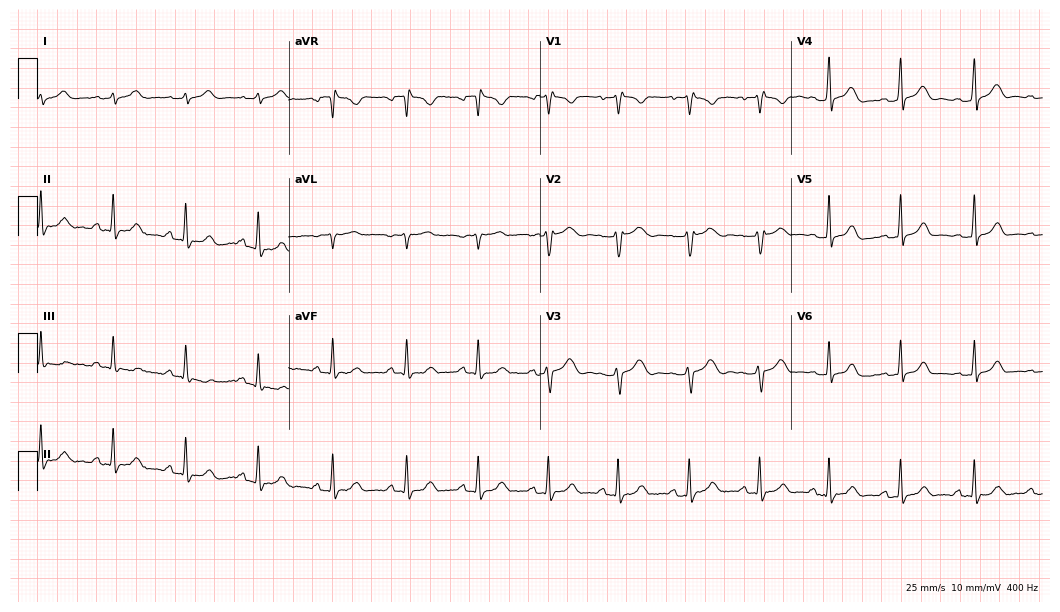
12-lead ECG from a woman, 21 years old. Recorded interpretation: within normal limits.